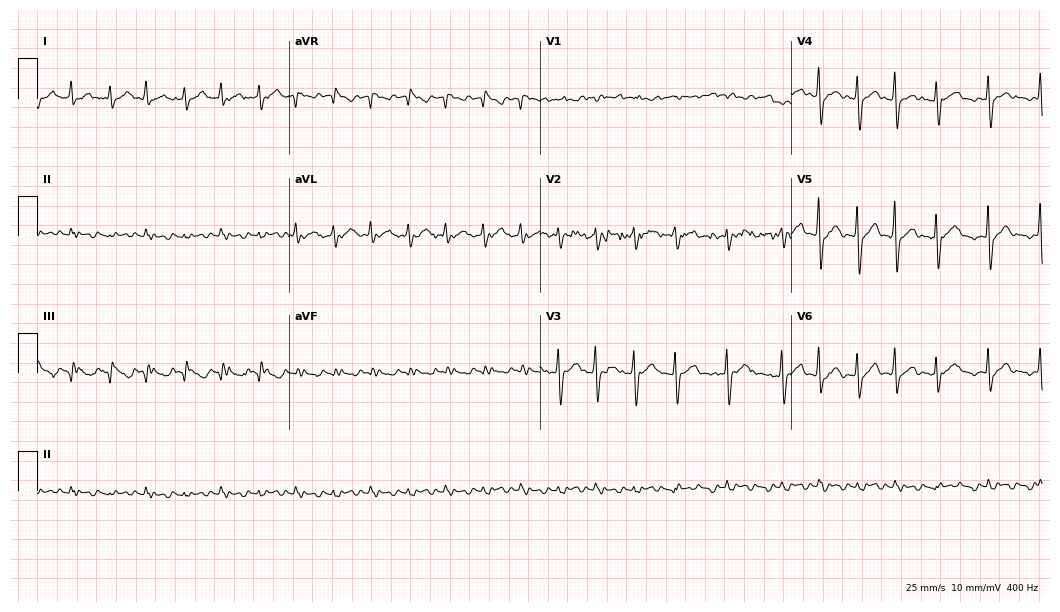
Resting 12-lead electrocardiogram (10.2-second recording at 400 Hz). Patient: a male, 80 years old. None of these six findings is recorded: first-degree AV block, right bundle branch block, left bundle branch block, sinus bradycardia, atrial fibrillation, sinus tachycardia.